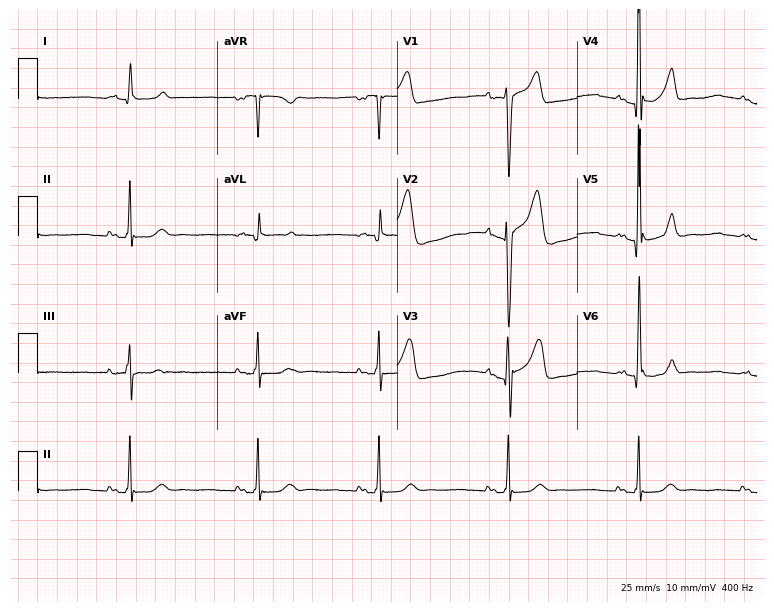
12-lead ECG (7.3-second recording at 400 Hz) from a 53-year-old male patient. Findings include sinus bradycardia (a sinus rate of 50 beats per minute or less).